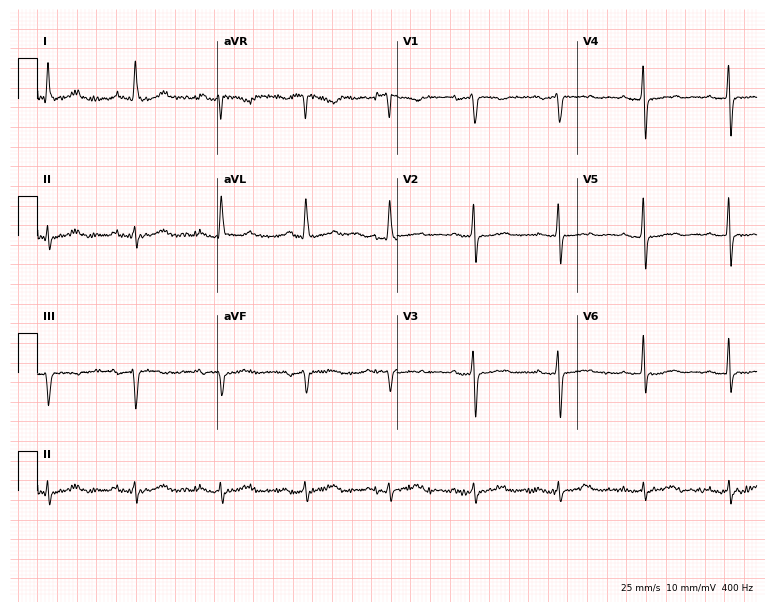
Resting 12-lead electrocardiogram (7.3-second recording at 400 Hz). Patient: a 72-year-old male. None of these six findings is recorded: first-degree AV block, right bundle branch block, left bundle branch block, sinus bradycardia, atrial fibrillation, sinus tachycardia. Only these six findings were labelled.